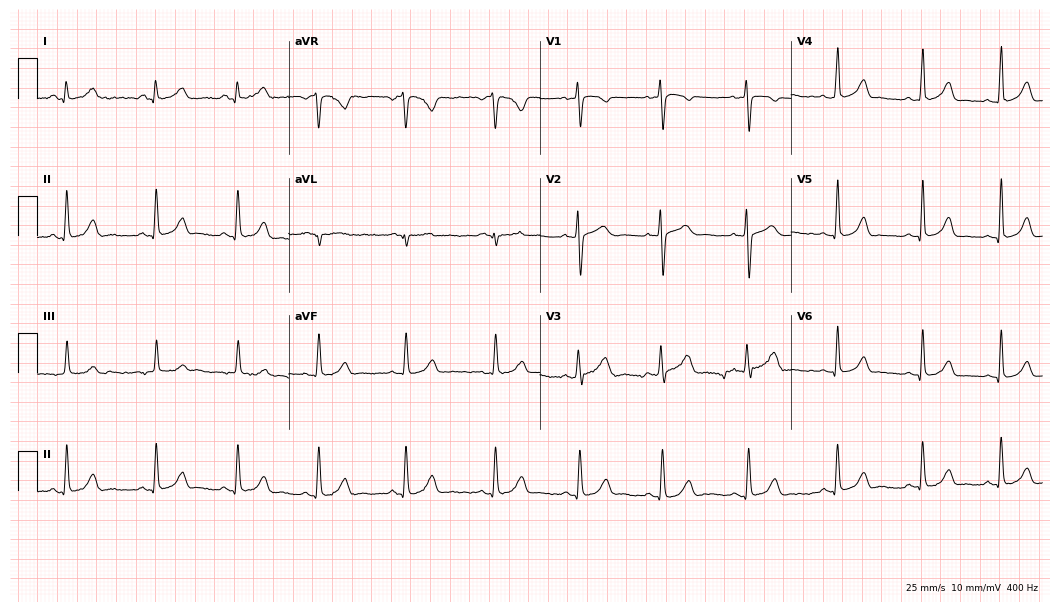
Resting 12-lead electrocardiogram (10.2-second recording at 400 Hz). Patient: a woman, 21 years old. Read as a normal ECG.